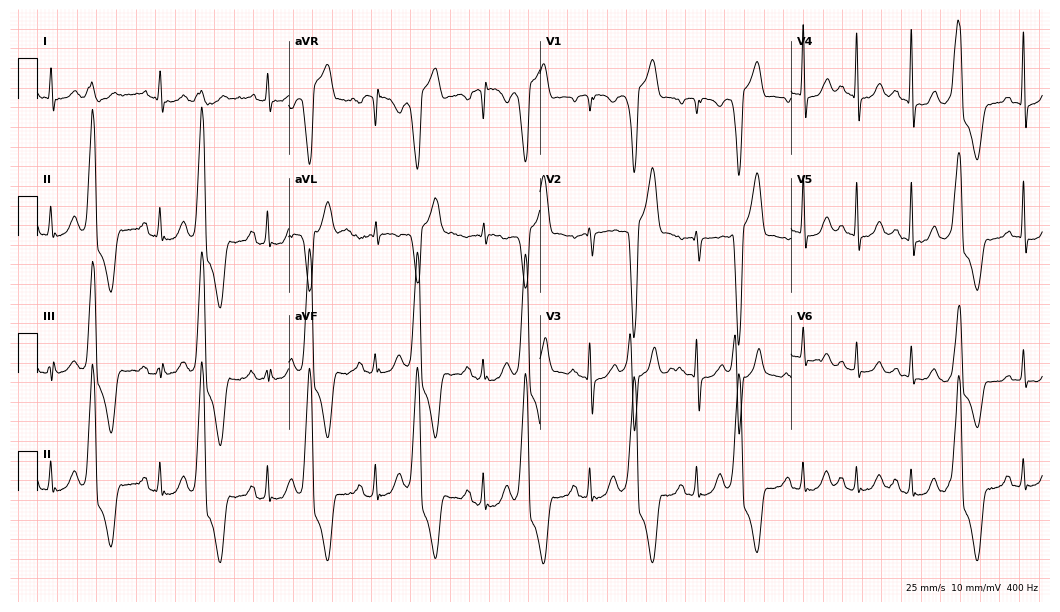
12-lead ECG from an 83-year-old male patient (10.2-second recording at 400 Hz). No first-degree AV block, right bundle branch block (RBBB), left bundle branch block (LBBB), sinus bradycardia, atrial fibrillation (AF) or sinus tachycardia recorded for this tracing. Other findings, if any, are not listed.